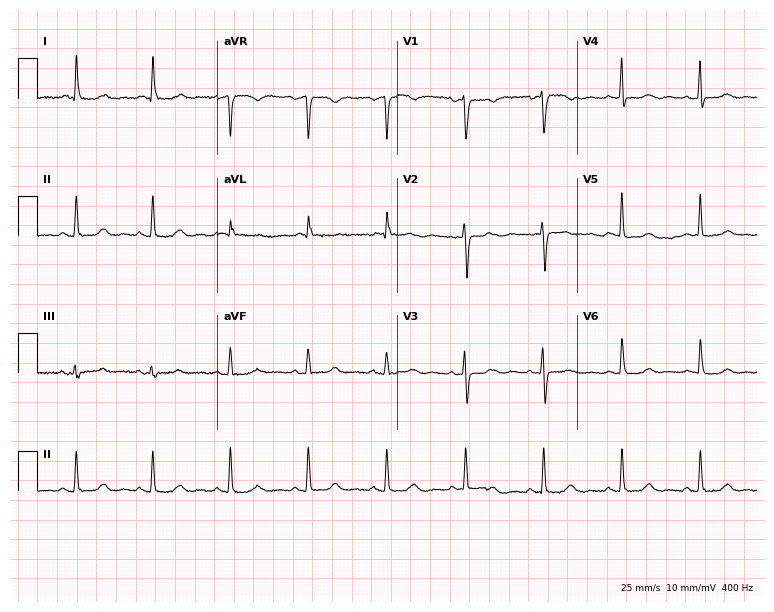
12-lead ECG (7.3-second recording at 400 Hz) from a 75-year-old female patient. Labelled as a normal ECG.